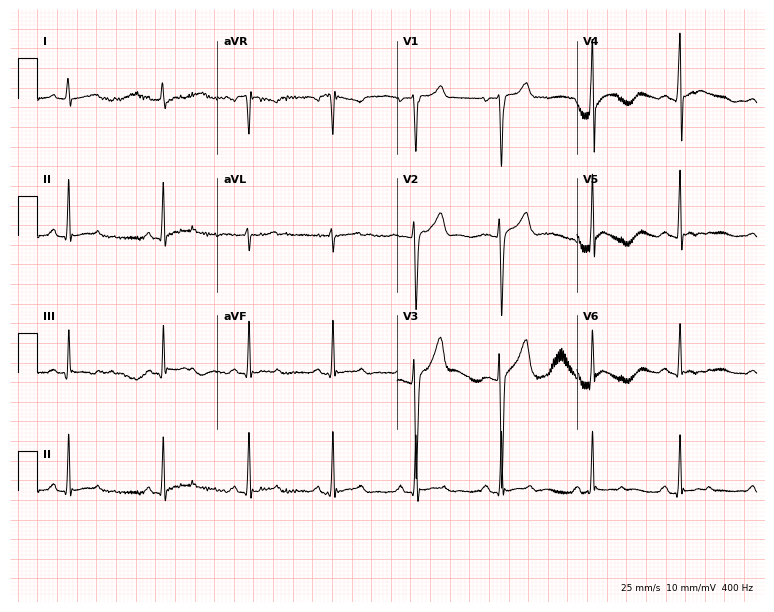
ECG — a 19-year-old male. Labelled as a normal ECG.